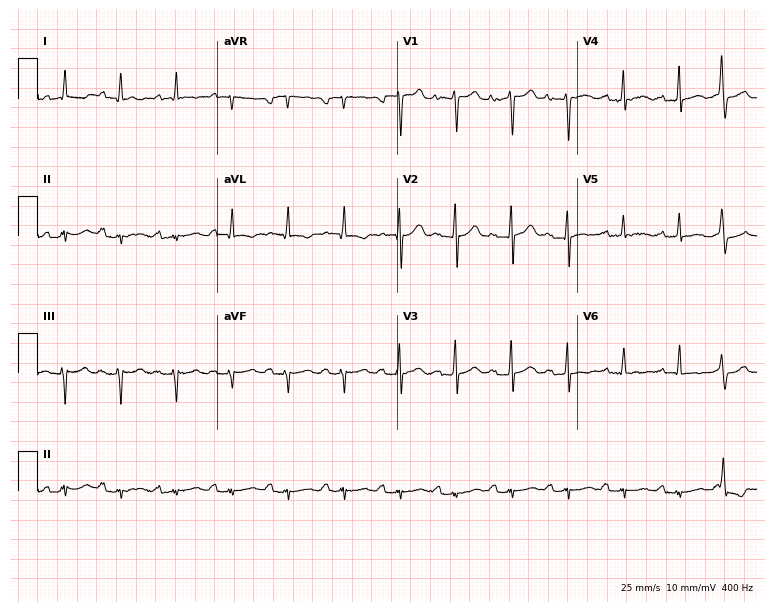
12-lead ECG from an 83-year-old male (7.3-second recording at 400 Hz). Shows sinus tachycardia (a sinus rate of 100 beats per minute or more).